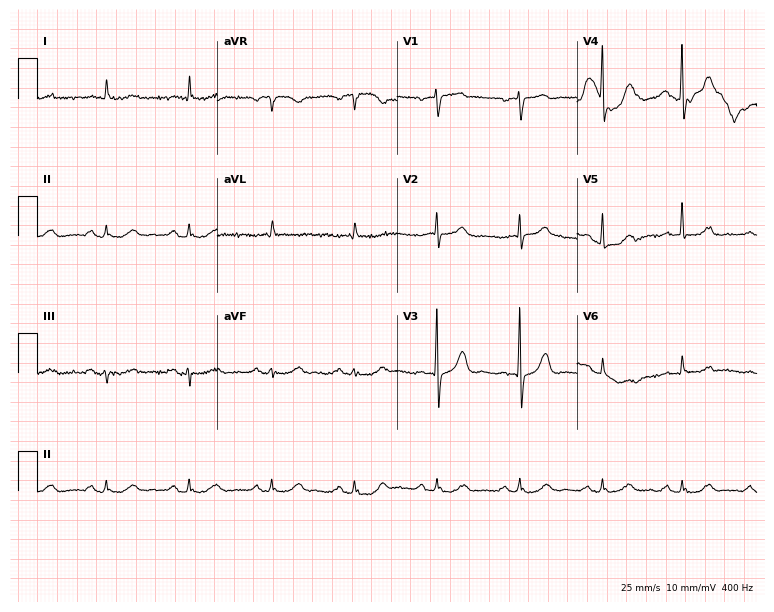
Resting 12-lead electrocardiogram (7.3-second recording at 400 Hz). Patient: a male, 78 years old. None of these six findings is recorded: first-degree AV block, right bundle branch block, left bundle branch block, sinus bradycardia, atrial fibrillation, sinus tachycardia. Only these six findings were labelled.